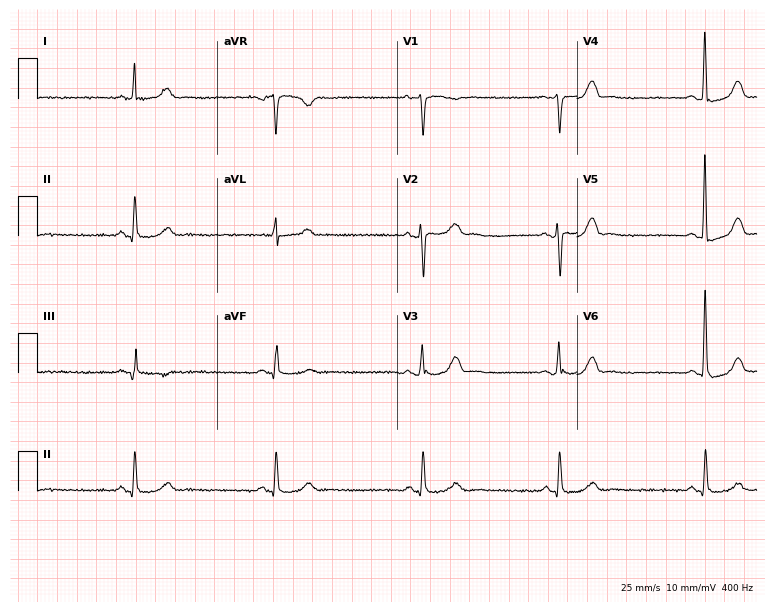
Electrocardiogram (7.3-second recording at 400 Hz), a female, 64 years old. Interpretation includes sinus bradycardia (a sinus rate of 50 beats per minute or less).